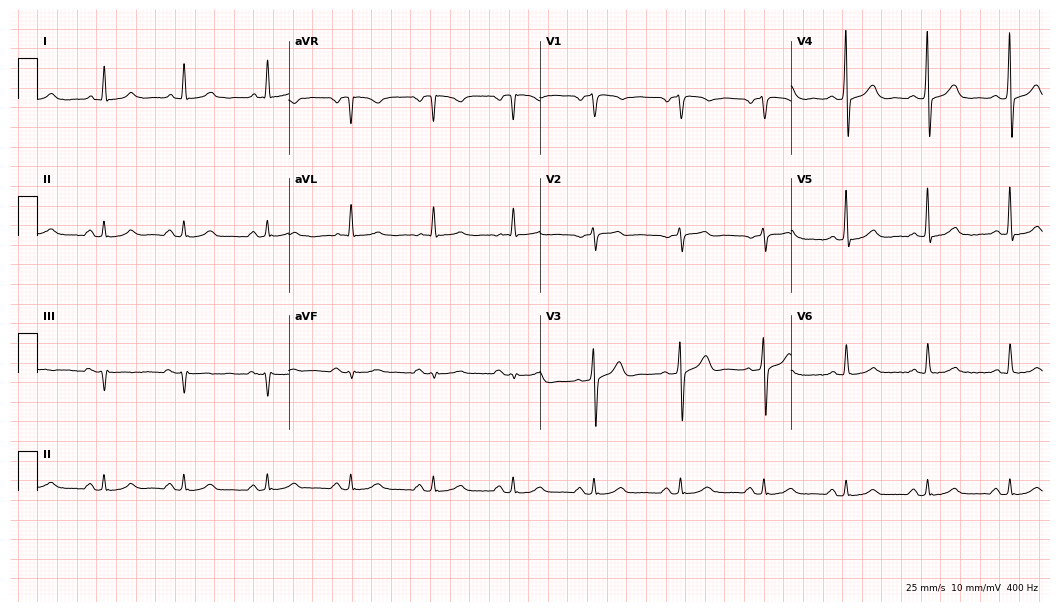
12-lead ECG from a male patient, 59 years old (10.2-second recording at 400 Hz). No first-degree AV block, right bundle branch block (RBBB), left bundle branch block (LBBB), sinus bradycardia, atrial fibrillation (AF) or sinus tachycardia recorded for this tracing. Findings outside these six are not listed.